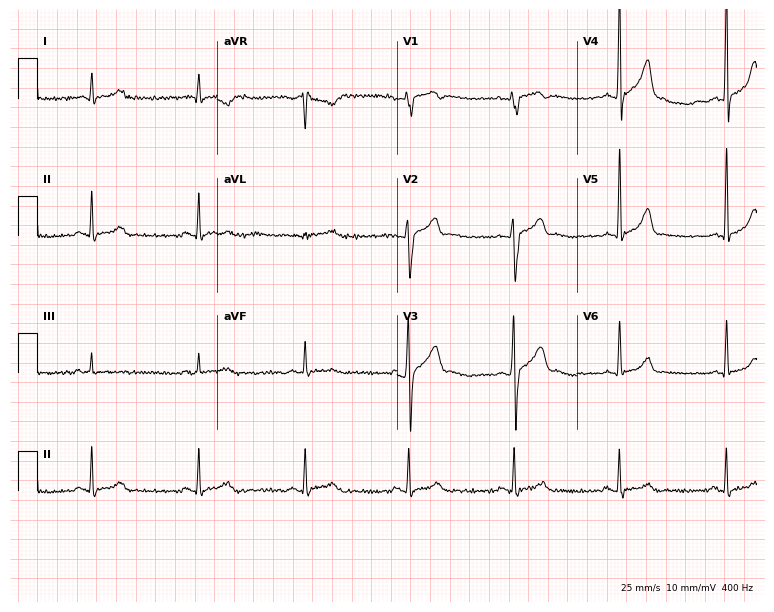
12-lead ECG from a 40-year-old male patient. Screened for six findings — first-degree AV block, right bundle branch block, left bundle branch block, sinus bradycardia, atrial fibrillation, sinus tachycardia — none is recorded. Other findings, if any, are not listed.